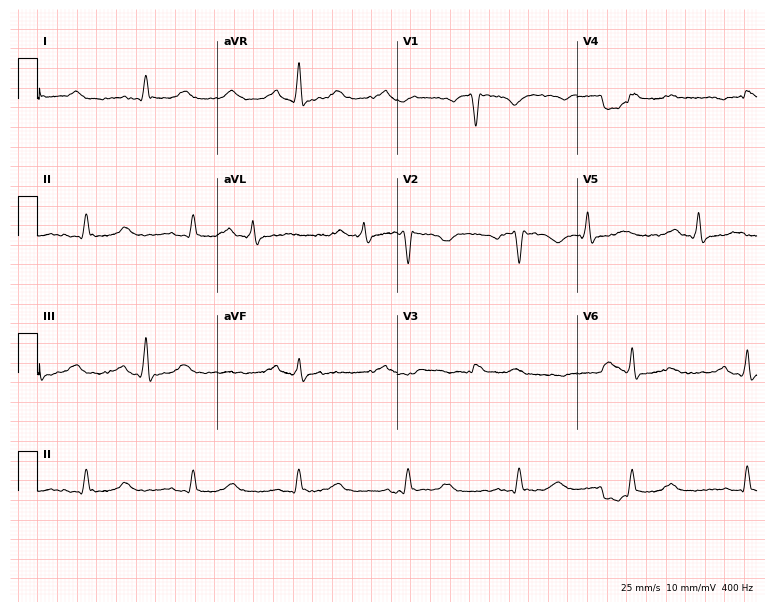
Standard 12-lead ECG recorded from a 19-year-old female patient (7.3-second recording at 400 Hz). None of these six findings is recorded: first-degree AV block, right bundle branch block (RBBB), left bundle branch block (LBBB), sinus bradycardia, atrial fibrillation (AF), sinus tachycardia. Only these six findings were labelled.